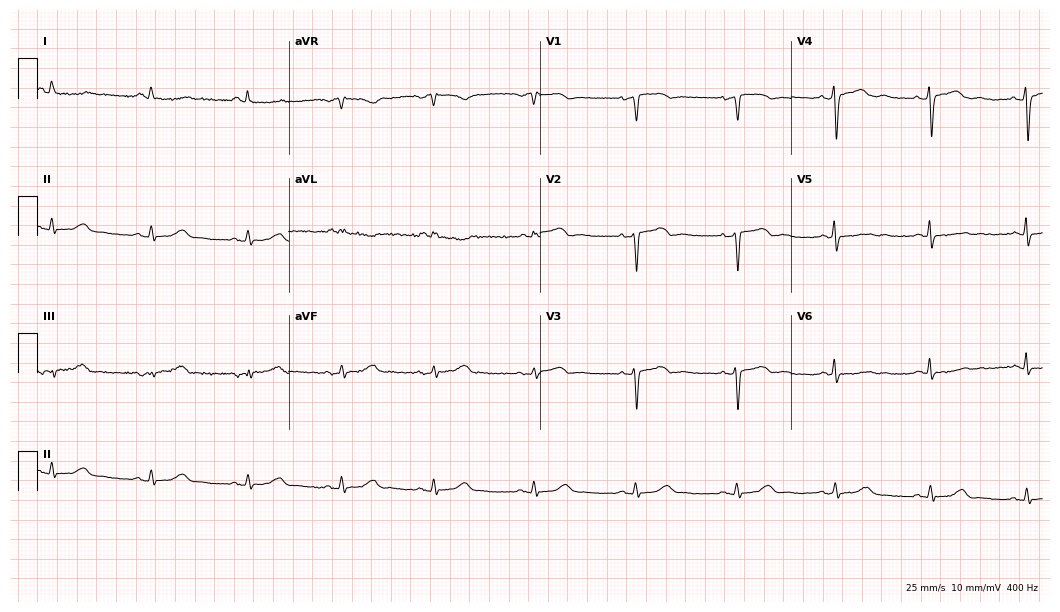
Standard 12-lead ECG recorded from a woman, 60 years old. None of these six findings is recorded: first-degree AV block, right bundle branch block, left bundle branch block, sinus bradycardia, atrial fibrillation, sinus tachycardia.